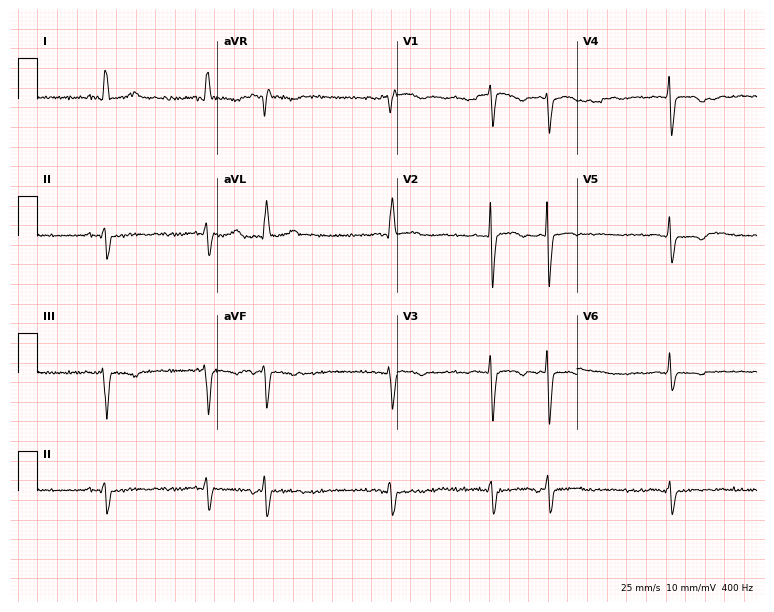
Resting 12-lead electrocardiogram. Patient: an 82-year-old female. None of these six findings is recorded: first-degree AV block, right bundle branch block (RBBB), left bundle branch block (LBBB), sinus bradycardia, atrial fibrillation (AF), sinus tachycardia.